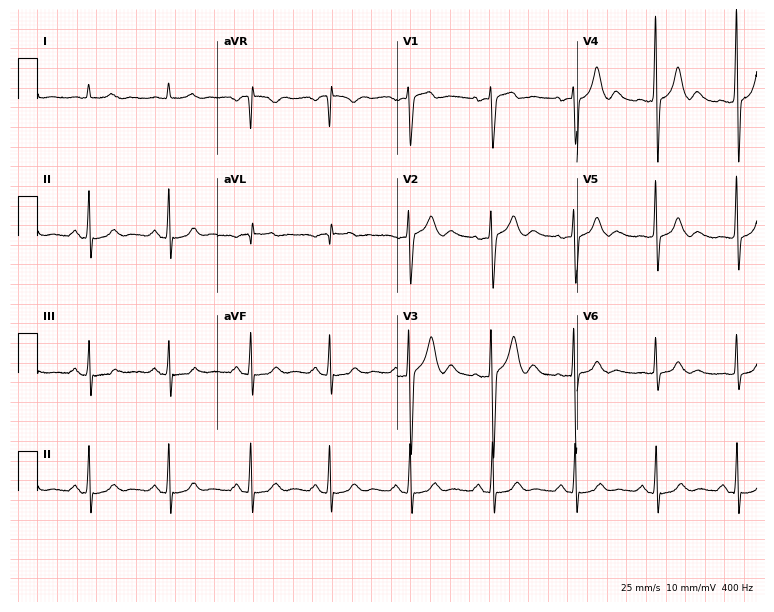
12-lead ECG (7.3-second recording at 400 Hz) from a 42-year-old male patient. Labelled as a normal ECG.